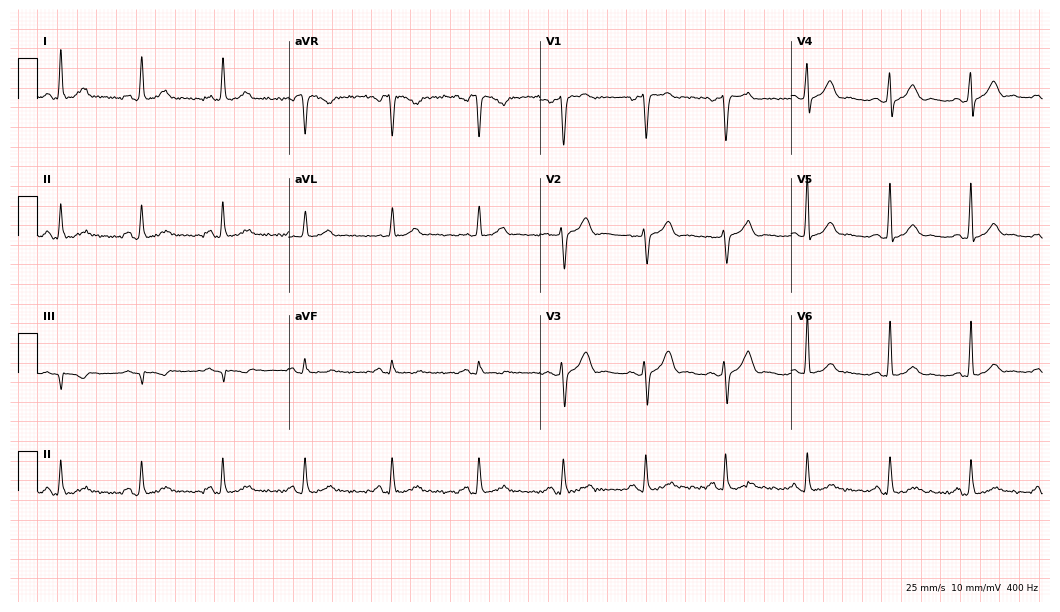
12-lead ECG (10.2-second recording at 400 Hz) from a male, 36 years old. Labelled as a normal ECG.